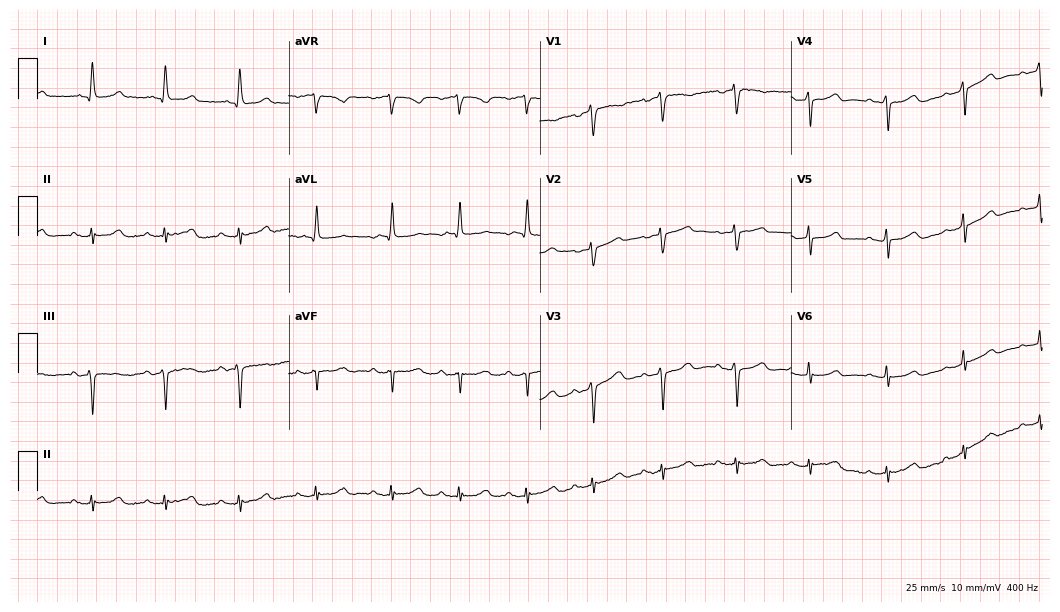
Electrocardiogram, a 79-year-old female patient. Overall reading on record: normal ECG.